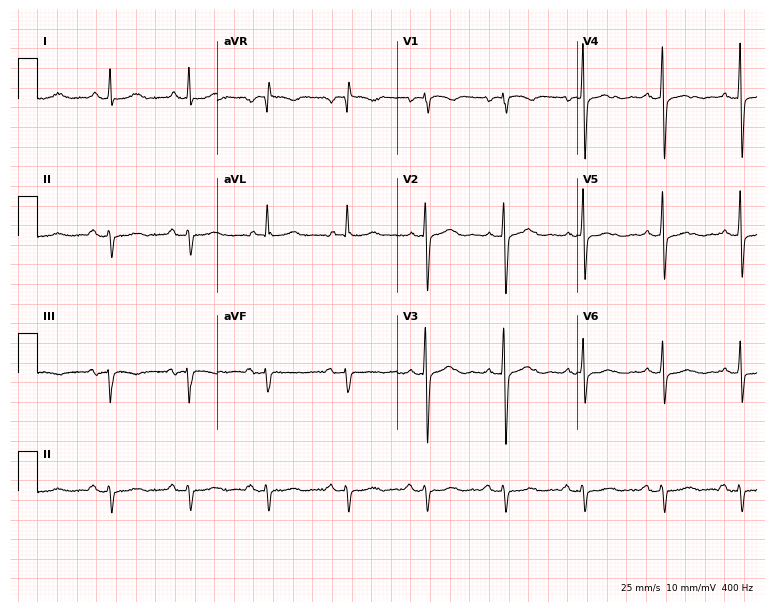
Standard 12-lead ECG recorded from a 69-year-old female patient. None of these six findings is recorded: first-degree AV block, right bundle branch block, left bundle branch block, sinus bradycardia, atrial fibrillation, sinus tachycardia. Other findings, if any, are not listed.